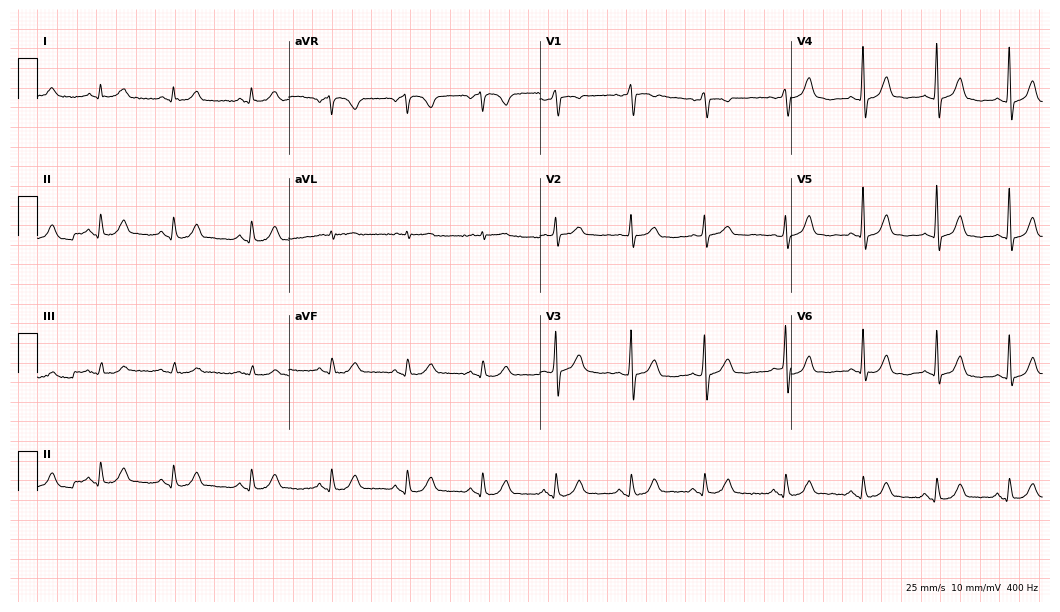
Resting 12-lead electrocardiogram (10.2-second recording at 400 Hz). Patient: a female, 71 years old. Read as a normal ECG.